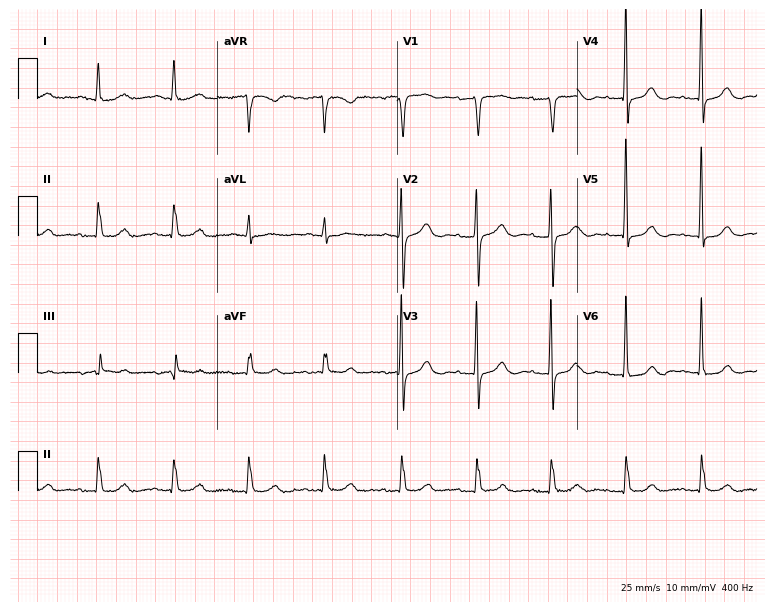
ECG (7.3-second recording at 400 Hz) — a 79-year-old female. Labelled as a normal ECG.